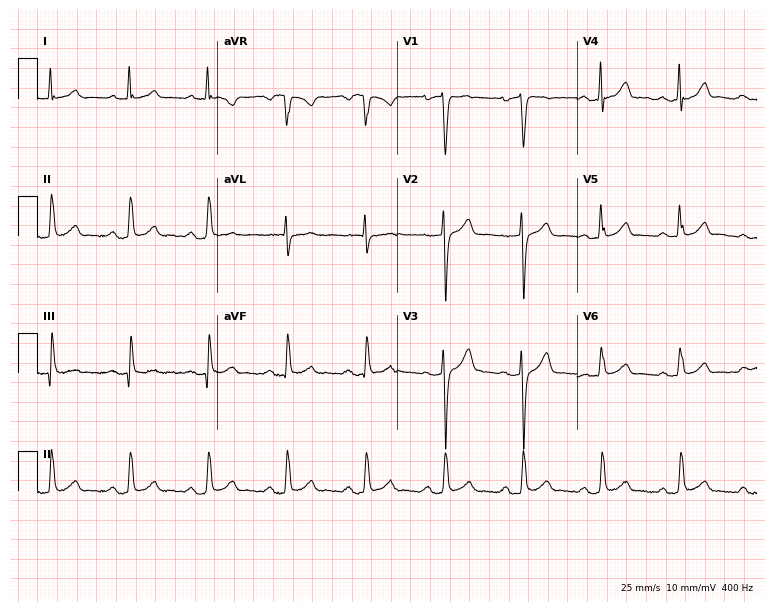
ECG — a man, 64 years old. Labelled as a normal ECG.